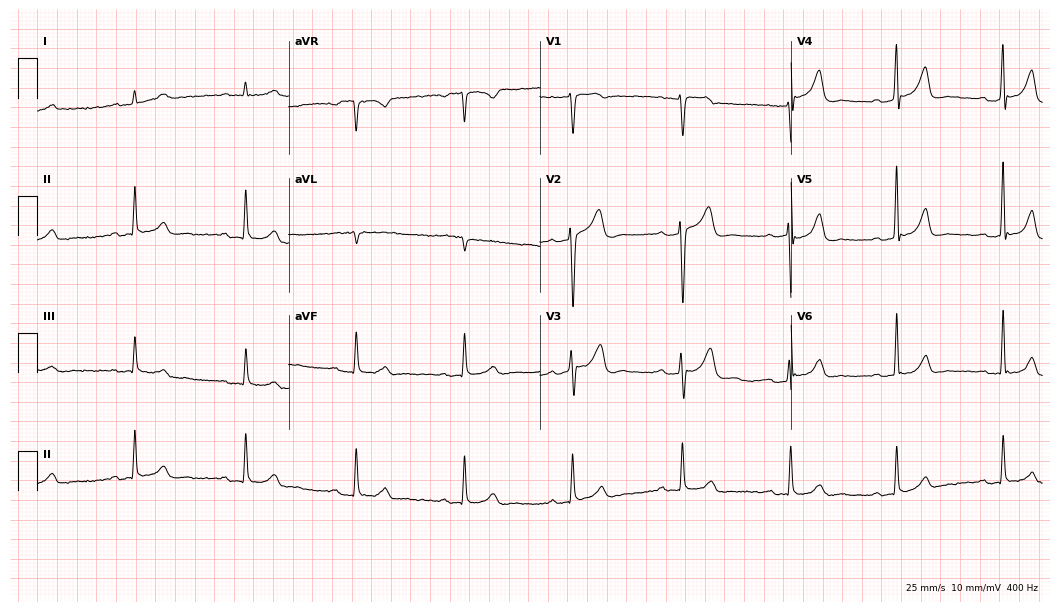
12-lead ECG from a 49-year-old male patient. Findings include first-degree AV block.